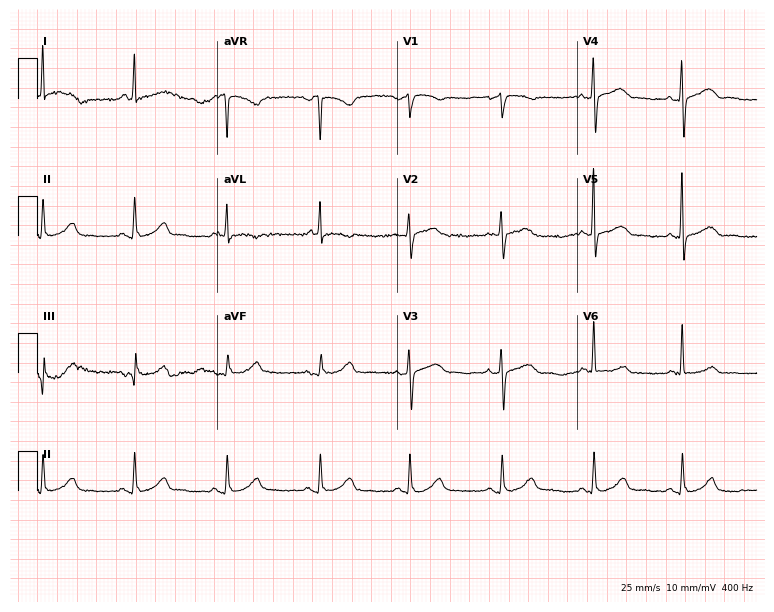
Resting 12-lead electrocardiogram (7.3-second recording at 400 Hz). Patient: a female, 65 years old. None of these six findings is recorded: first-degree AV block, right bundle branch block, left bundle branch block, sinus bradycardia, atrial fibrillation, sinus tachycardia.